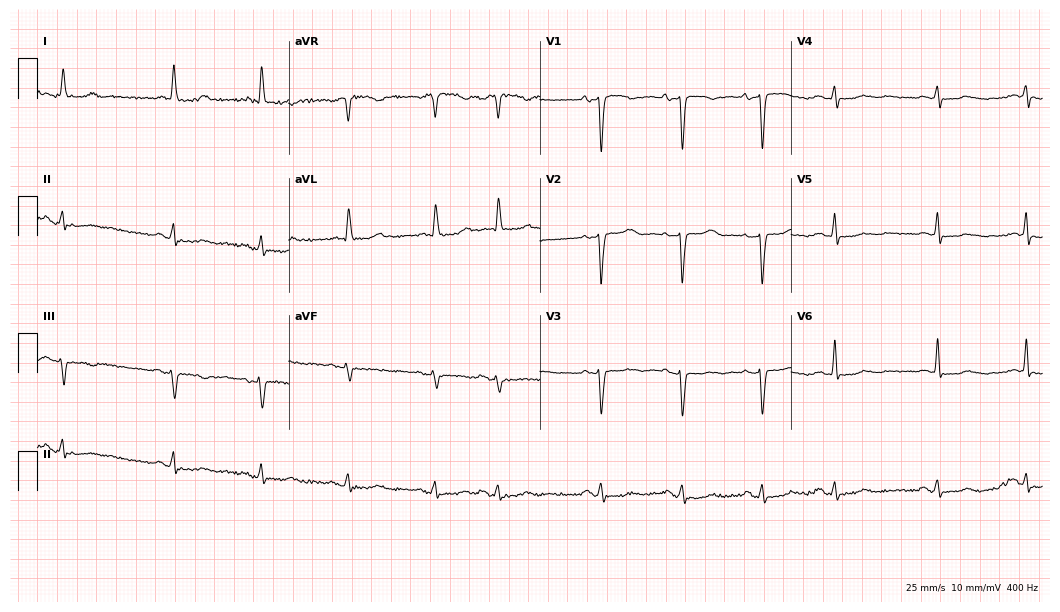
Electrocardiogram, a 78-year-old female patient. Of the six screened findings (first-degree AV block, right bundle branch block, left bundle branch block, sinus bradycardia, atrial fibrillation, sinus tachycardia), none is recorded.